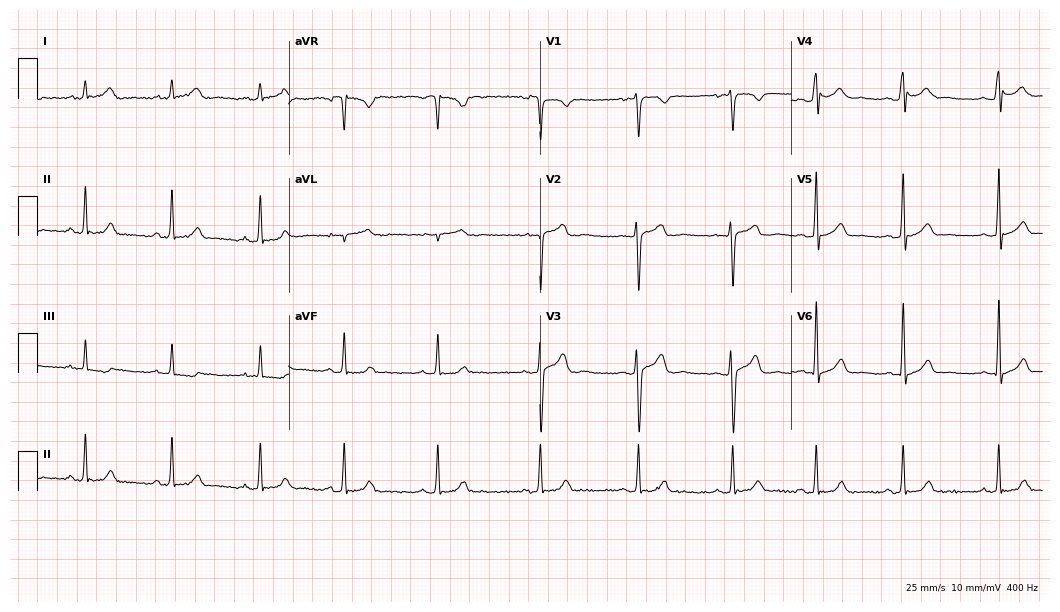
12-lead ECG from a 25-year-old man. Recorded interpretation: within normal limits.